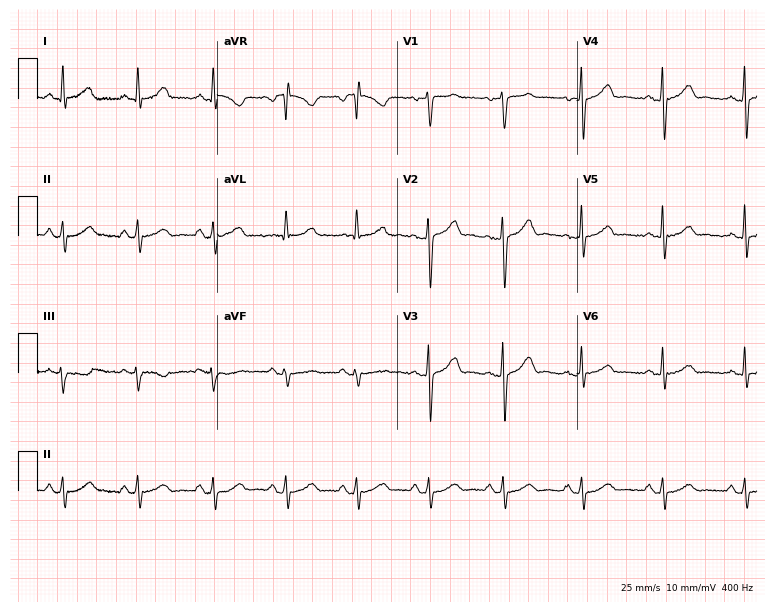
Resting 12-lead electrocardiogram (7.3-second recording at 400 Hz). Patient: a woman, 59 years old. None of these six findings is recorded: first-degree AV block, right bundle branch block, left bundle branch block, sinus bradycardia, atrial fibrillation, sinus tachycardia. Other findings, if any, are not listed.